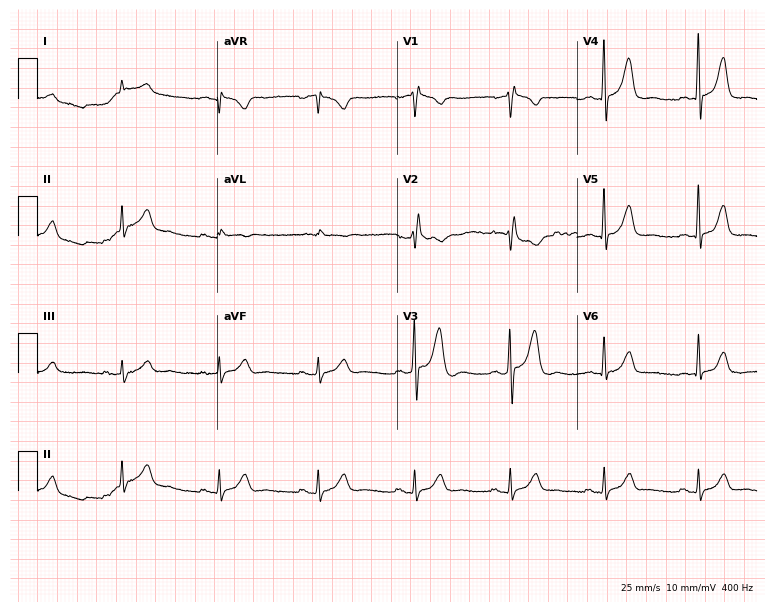
12-lead ECG from a male patient, 68 years old (7.3-second recording at 400 Hz). Recorded interpretation: within normal limits.